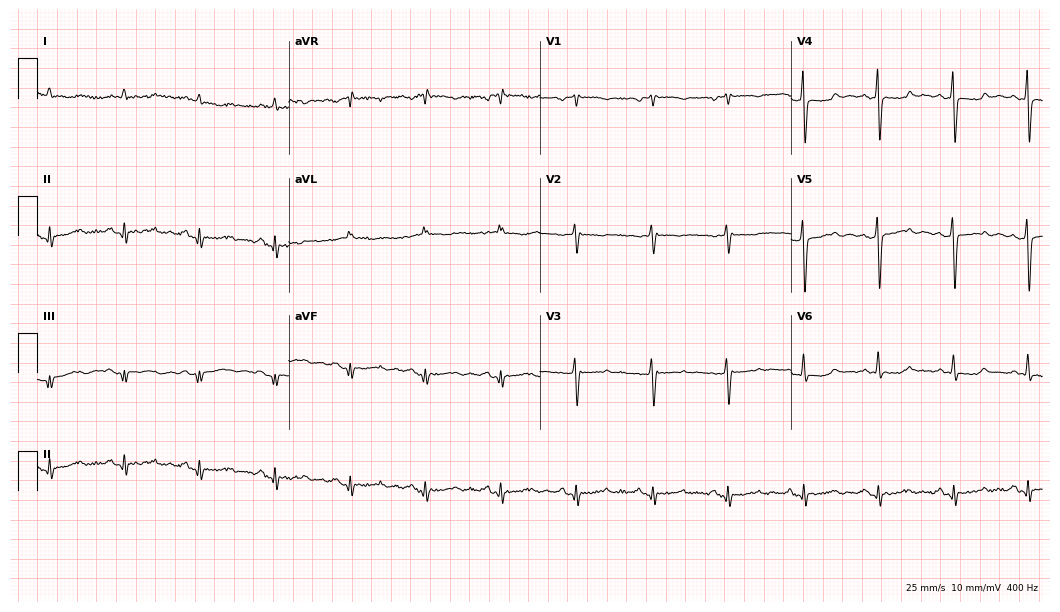
12-lead ECG from a female, 80 years old. Screened for six findings — first-degree AV block, right bundle branch block, left bundle branch block, sinus bradycardia, atrial fibrillation, sinus tachycardia — none is recorded. Findings outside these six are not listed.